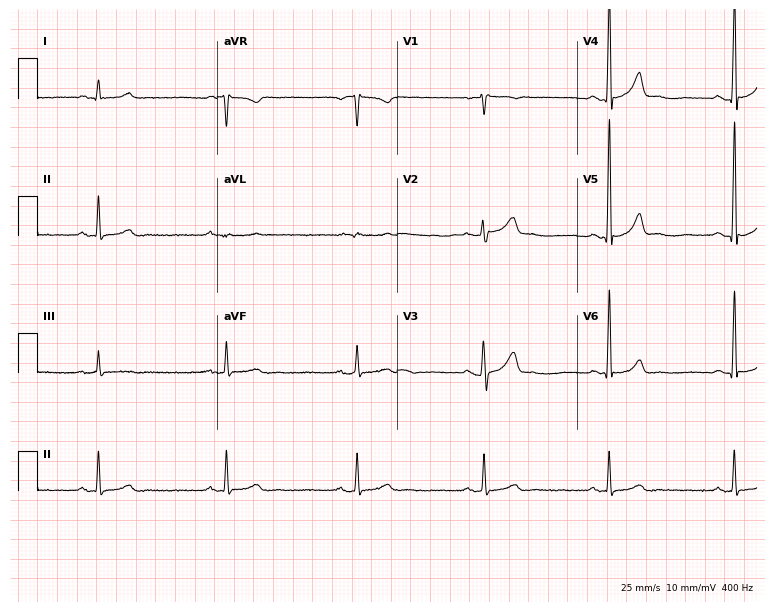
Resting 12-lead electrocardiogram. Patient: a man, 62 years old. Read as a normal ECG.